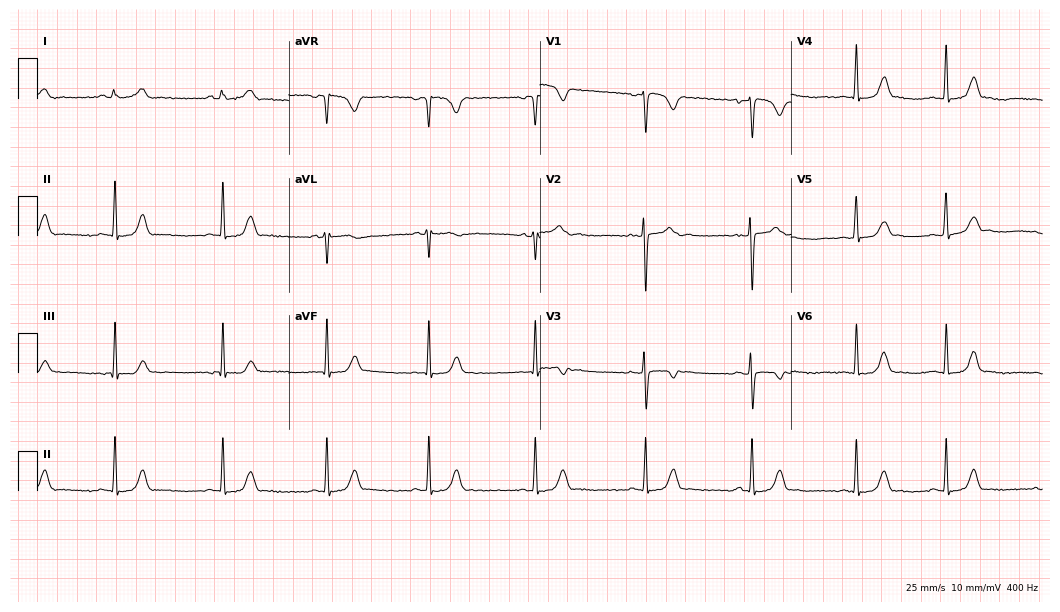
12-lead ECG from a 29-year-old female patient. Screened for six findings — first-degree AV block, right bundle branch block, left bundle branch block, sinus bradycardia, atrial fibrillation, sinus tachycardia — none is recorded. Findings outside these six are not listed.